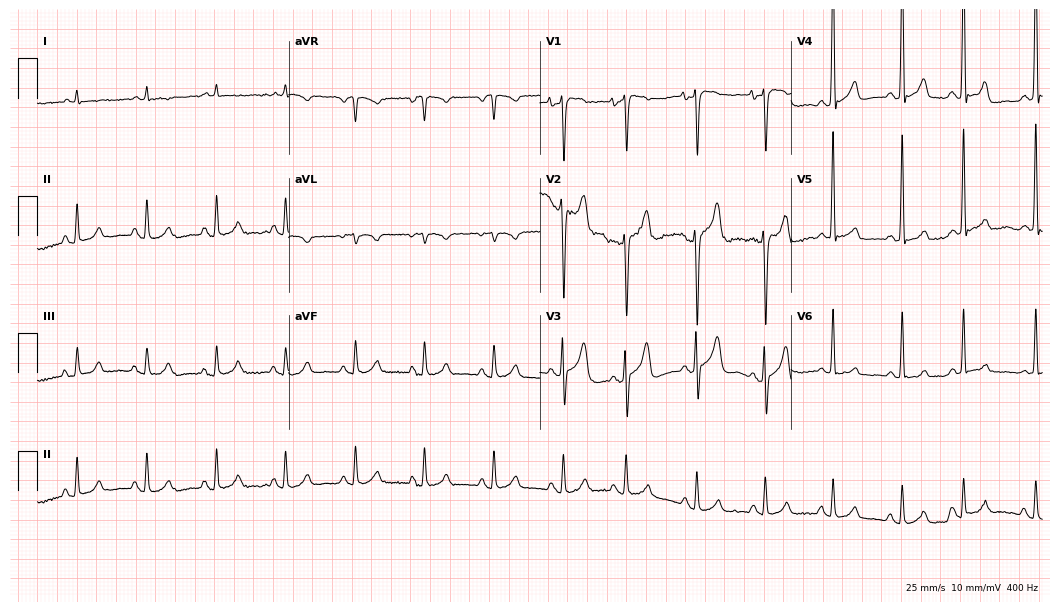
12-lead ECG (10.2-second recording at 400 Hz) from a man, 78 years old. Screened for six findings — first-degree AV block, right bundle branch block (RBBB), left bundle branch block (LBBB), sinus bradycardia, atrial fibrillation (AF), sinus tachycardia — none is recorded.